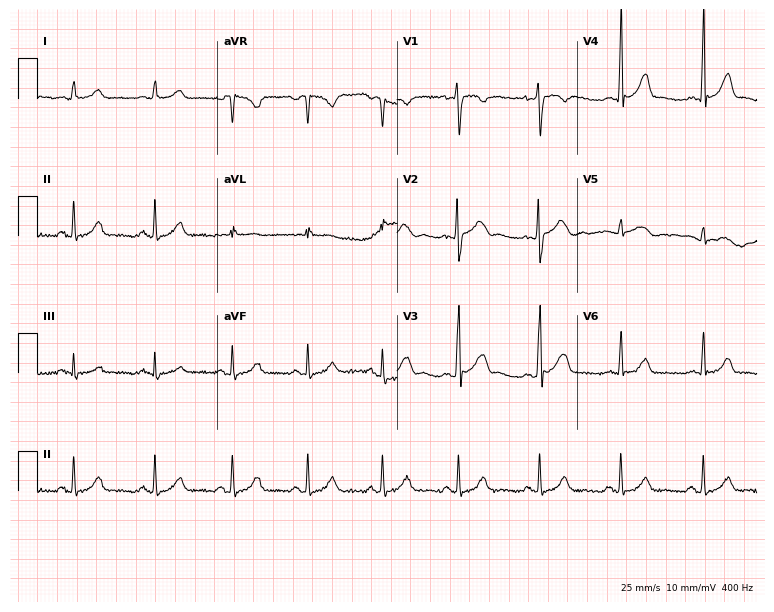
Resting 12-lead electrocardiogram (7.3-second recording at 400 Hz). Patient: a 23-year-old man. Read as a normal ECG.